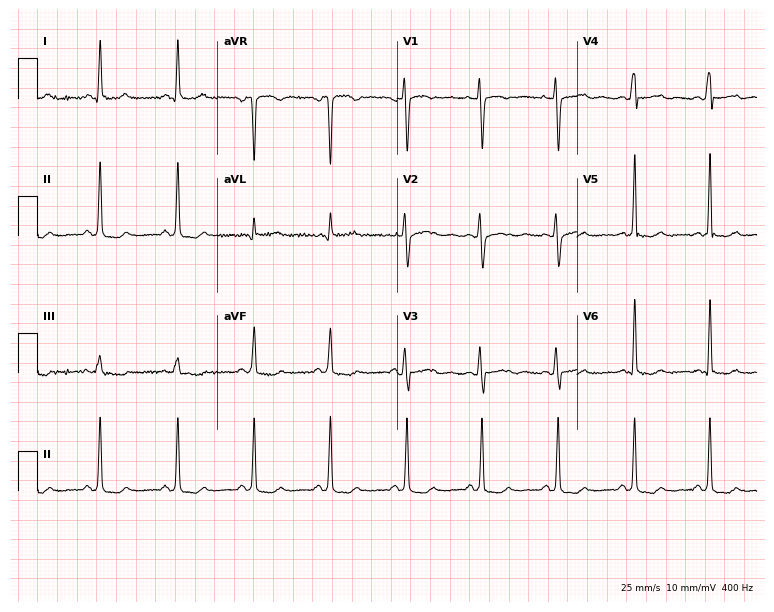
Standard 12-lead ECG recorded from a 31-year-old female (7.3-second recording at 400 Hz). None of these six findings is recorded: first-degree AV block, right bundle branch block, left bundle branch block, sinus bradycardia, atrial fibrillation, sinus tachycardia.